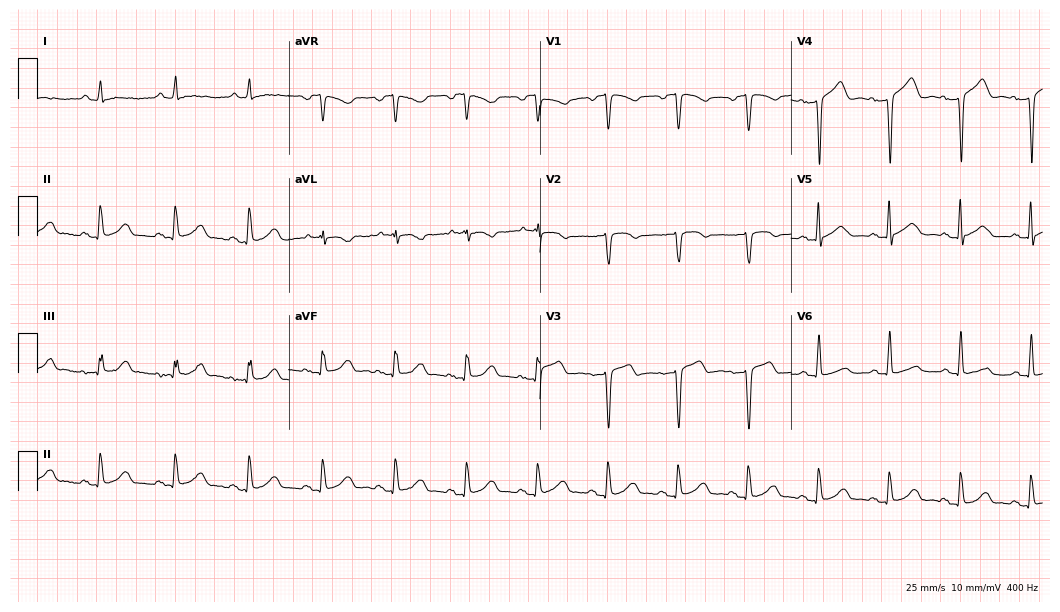
12-lead ECG from a 79-year-old woman. No first-degree AV block, right bundle branch block, left bundle branch block, sinus bradycardia, atrial fibrillation or sinus tachycardia recorded for this tracing.